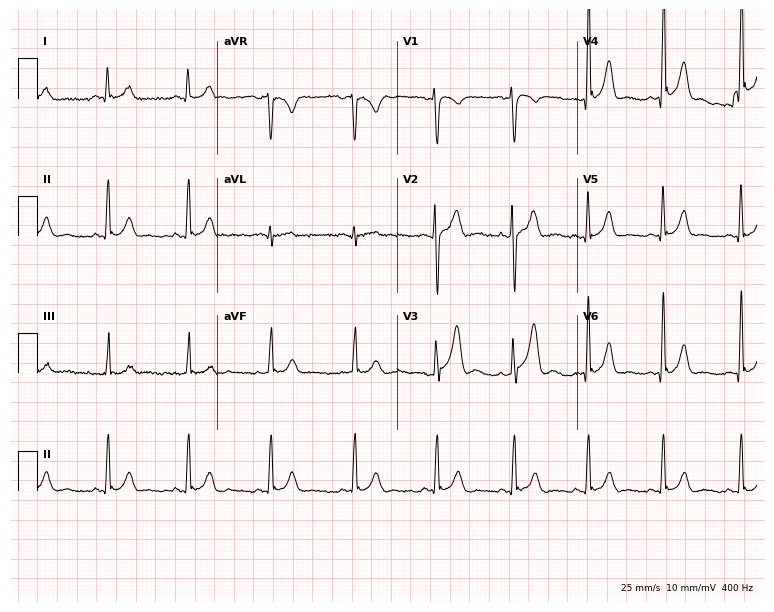
12-lead ECG from a 25-year-old male (7.3-second recording at 400 Hz). Recorded interpretation: within normal limits.